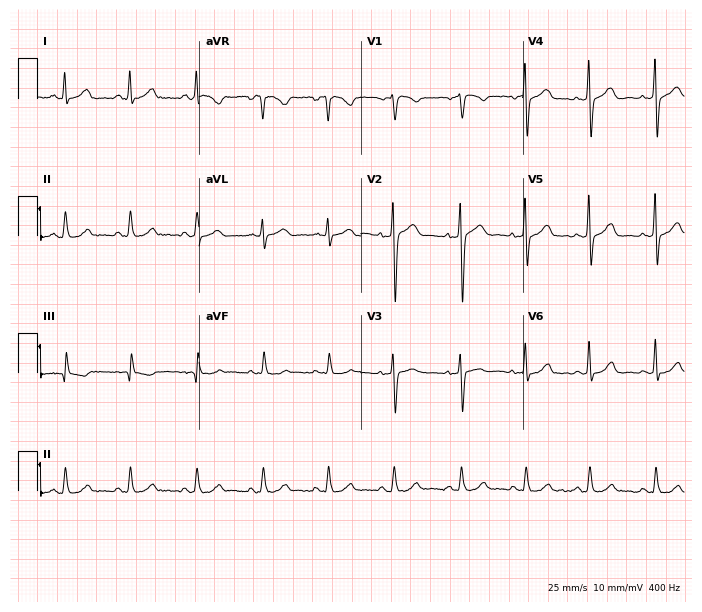
12-lead ECG from a female patient, 44 years old. No first-degree AV block, right bundle branch block (RBBB), left bundle branch block (LBBB), sinus bradycardia, atrial fibrillation (AF) or sinus tachycardia recorded for this tracing. Findings outside these six are not listed.